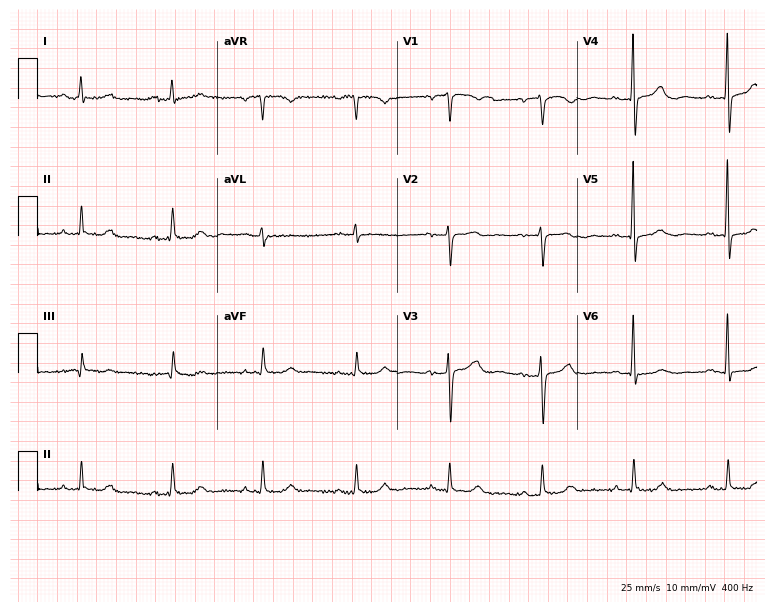
Standard 12-lead ECG recorded from a female, 77 years old. Read as a normal ECG.